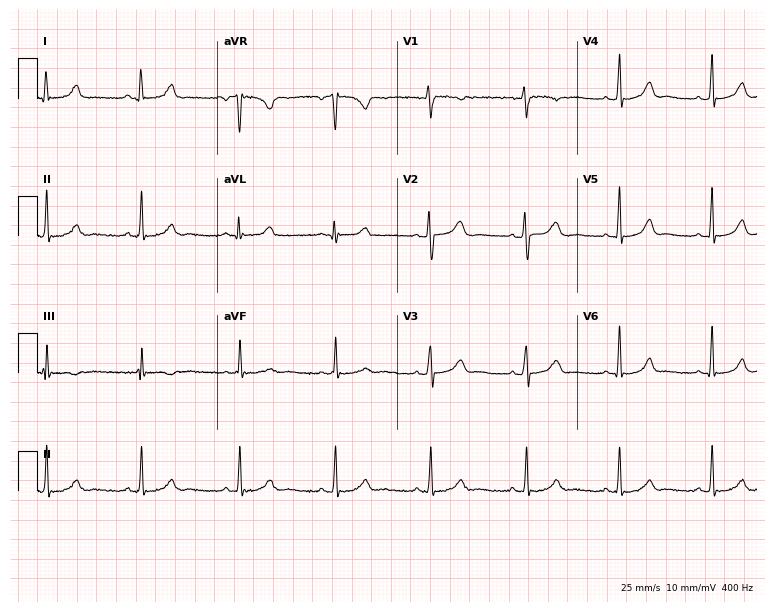
12-lead ECG (7.3-second recording at 400 Hz) from a 43-year-old female patient. Labelled as a normal ECG.